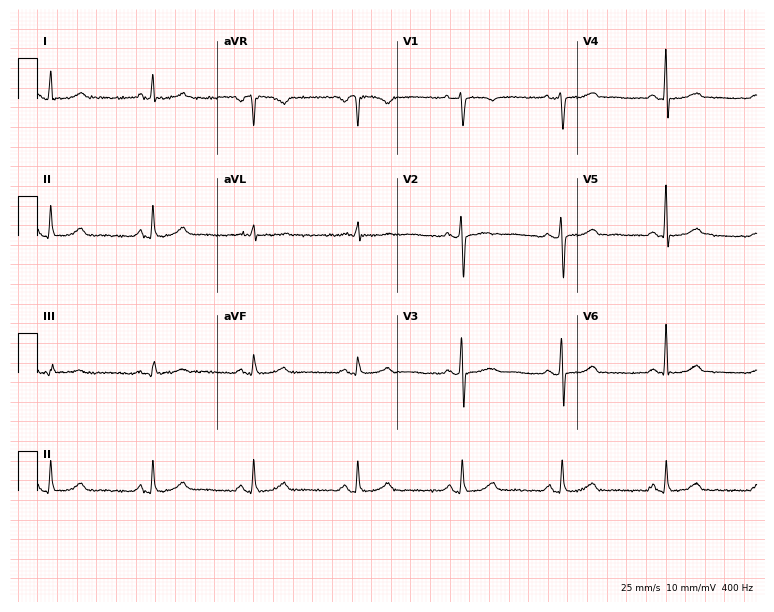
ECG — a woman, 47 years old. Labelled as a normal ECG.